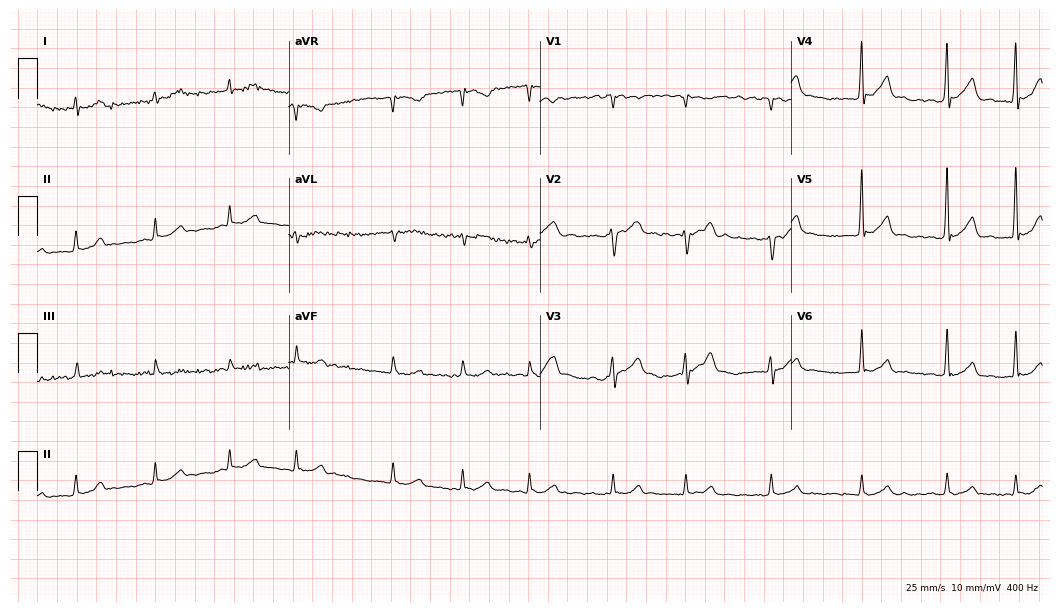
Standard 12-lead ECG recorded from a male, 59 years old (10.2-second recording at 400 Hz). The tracing shows atrial fibrillation.